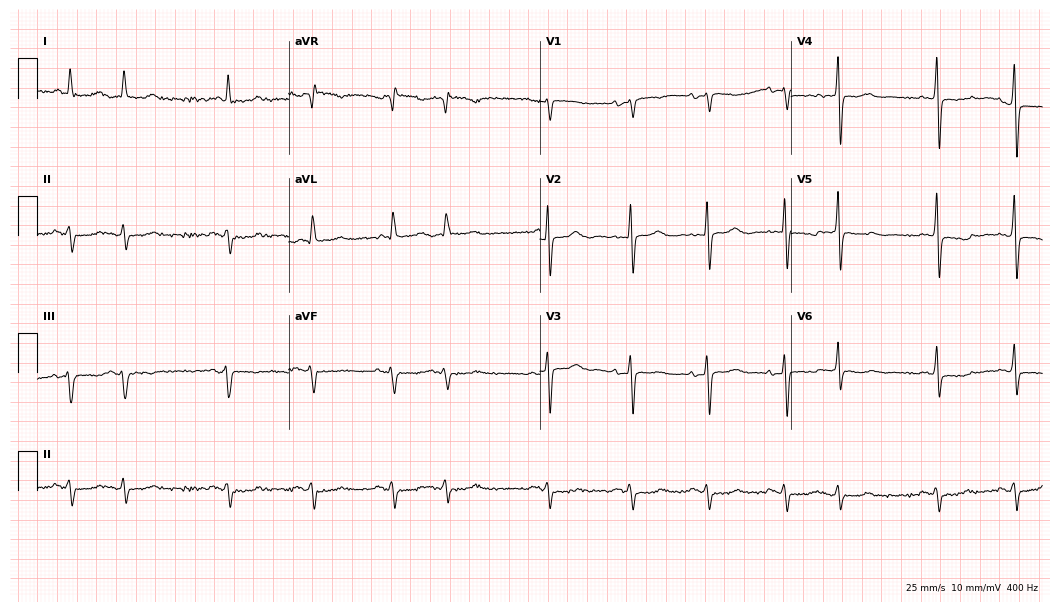
12-lead ECG from a 48-year-old female. No first-degree AV block, right bundle branch block (RBBB), left bundle branch block (LBBB), sinus bradycardia, atrial fibrillation (AF) or sinus tachycardia recorded for this tracing.